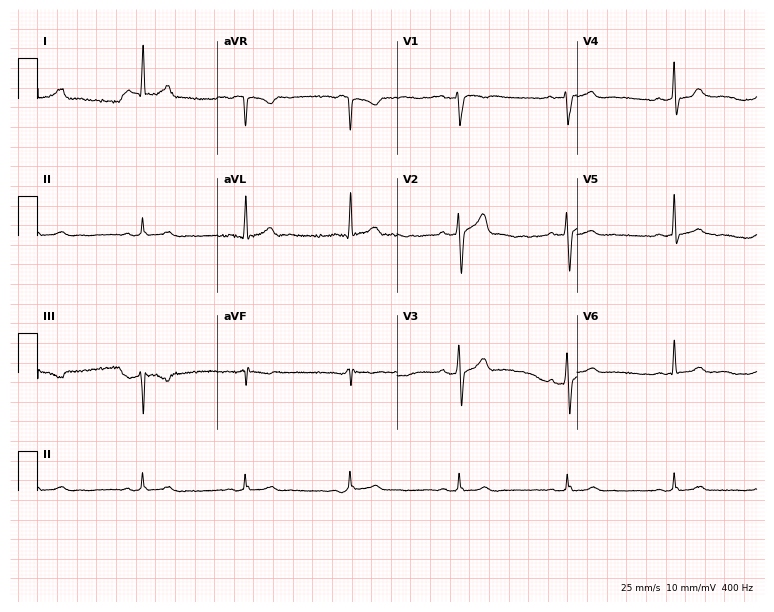
12-lead ECG from a male, 46 years old (7.3-second recording at 400 Hz). No first-degree AV block, right bundle branch block, left bundle branch block, sinus bradycardia, atrial fibrillation or sinus tachycardia recorded for this tracing. Findings outside these six are not listed.